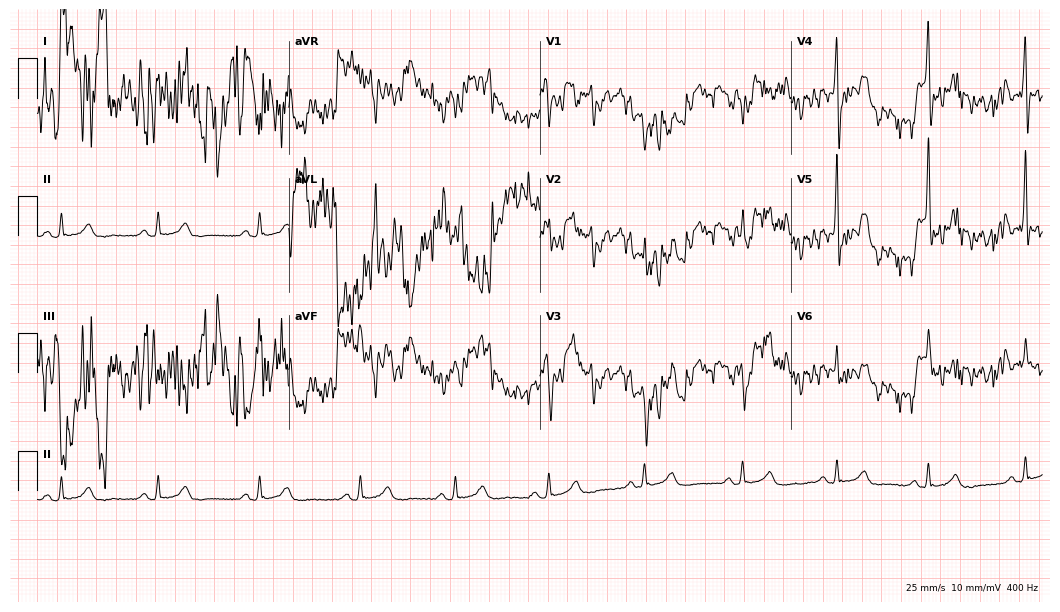
12-lead ECG from a 73-year-old male patient. Screened for six findings — first-degree AV block, right bundle branch block, left bundle branch block, sinus bradycardia, atrial fibrillation, sinus tachycardia — none is recorded. Only these six findings were labelled.